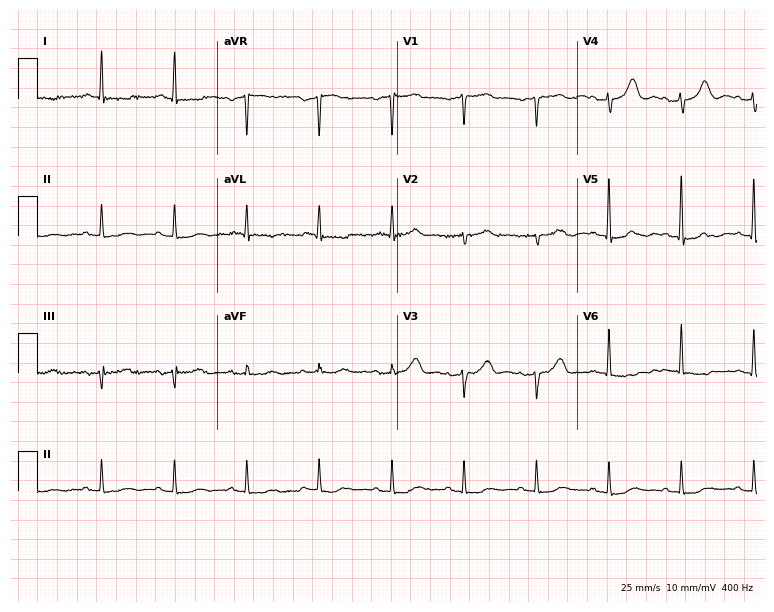
ECG (7.3-second recording at 400 Hz) — a female patient, 79 years old. Screened for six findings — first-degree AV block, right bundle branch block, left bundle branch block, sinus bradycardia, atrial fibrillation, sinus tachycardia — none is recorded.